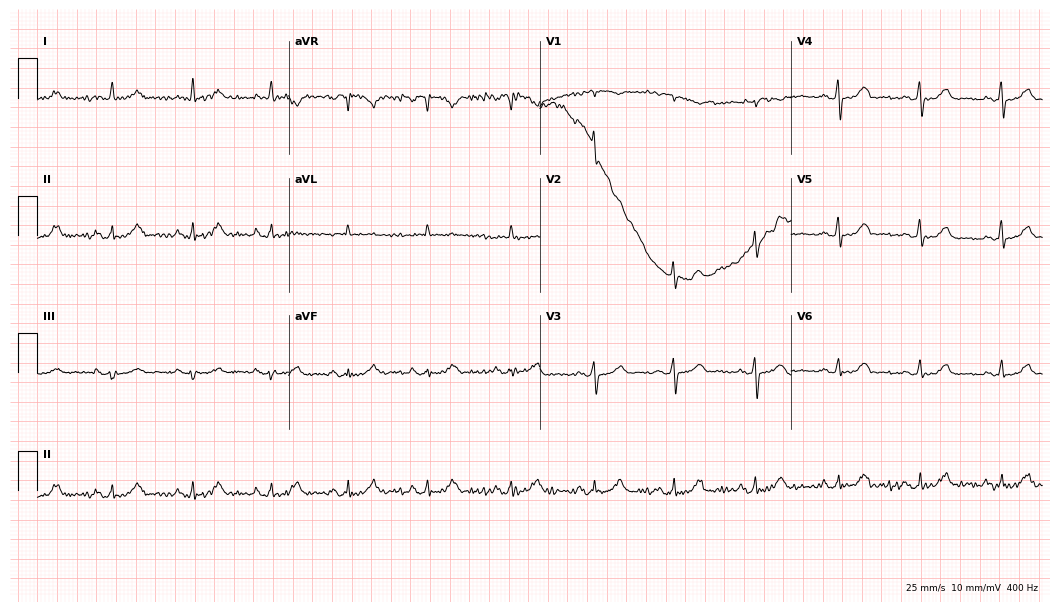
Resting 12-lead electrocardiogram. Patient: a female, 71 years old. Read as a normal ECG.